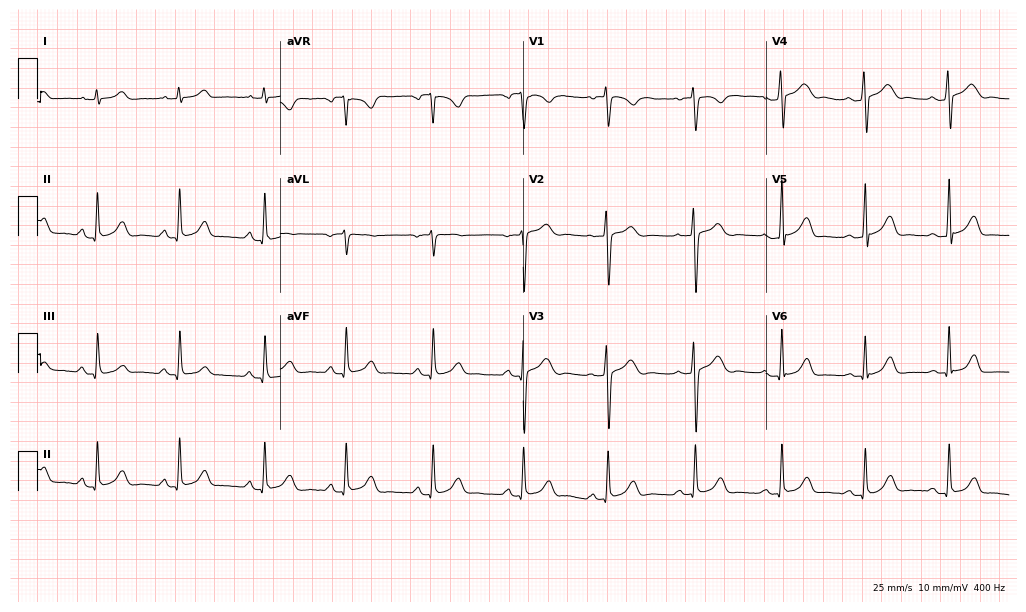
Electrocardiogram (9.9-second recording at 400 Hz), a woman, 34 years old. Overall reading on record: normal ECG.